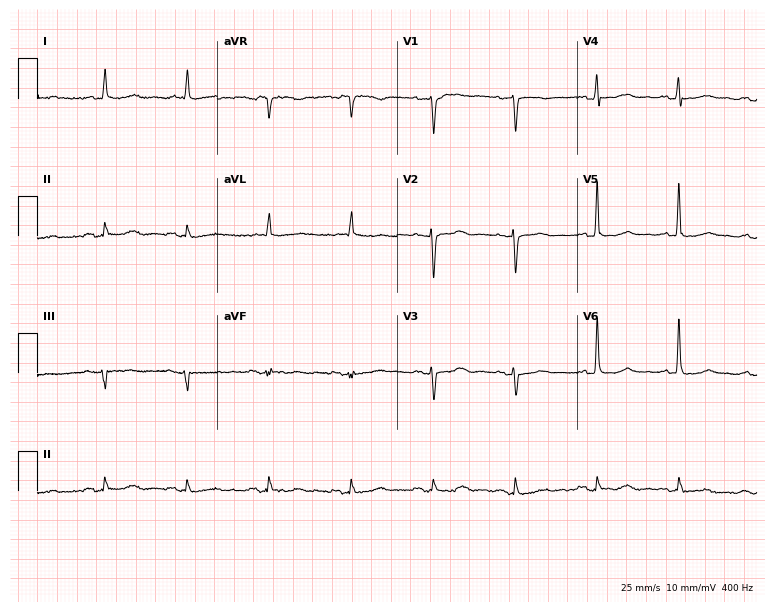
12-lead ECG from a female, 84 years old. No first-degree AV block, right bundle branch block (RBBB), left bundle branch block (LBBB), sinus bradycardia, atrial fibrillation (AF) or sinus tachycardia recorded for this tracing. Findings outside these six are not listed.